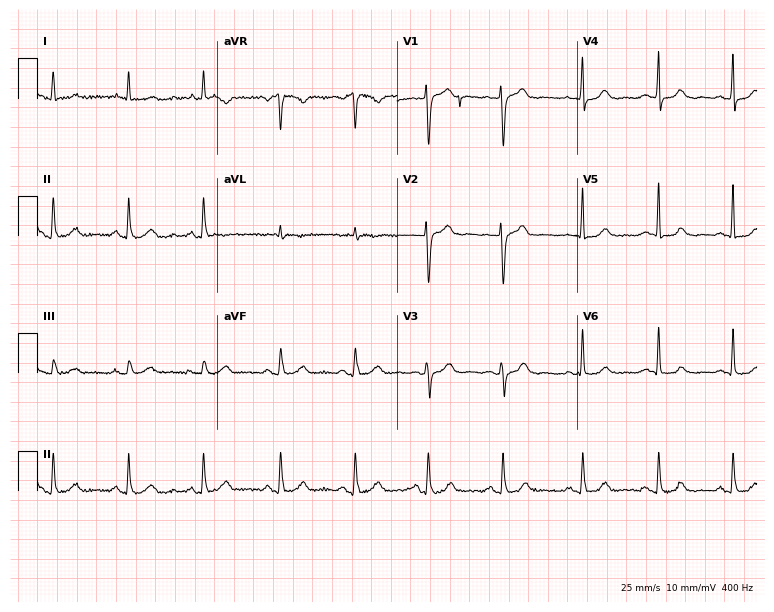
Electrocardiogram (7.3-second recording at 400 Hz), a 48-year-old female. Overall reading on record: normal ECG.